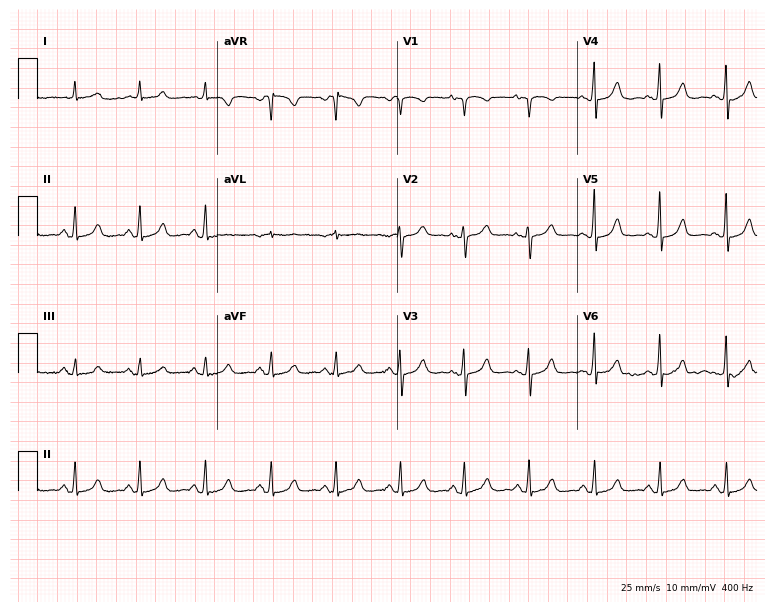
Resting 12-lead electrocardiogram (7.3-second recording at 400 Hz). Patient: a woman, 77 years old. Read as a normal ECG.